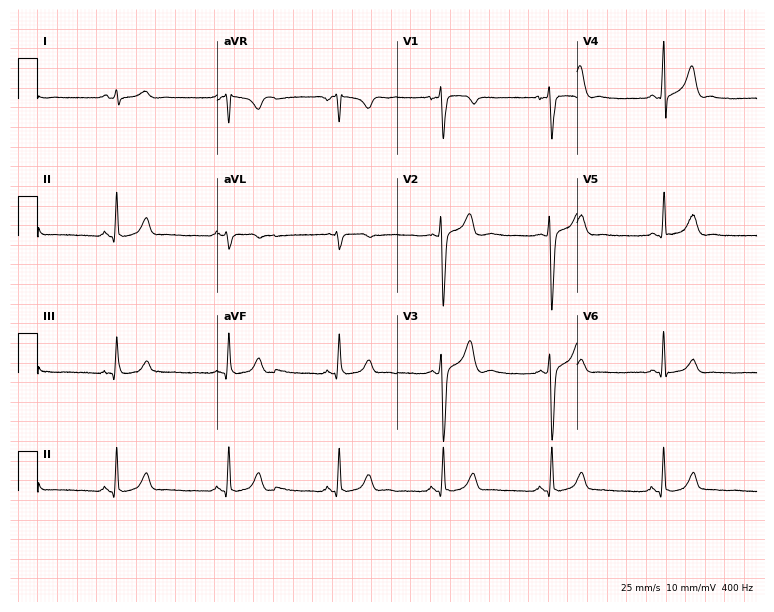
Electrocardiogram, a man, 28 years old. Overall reading on record: normal ECG.